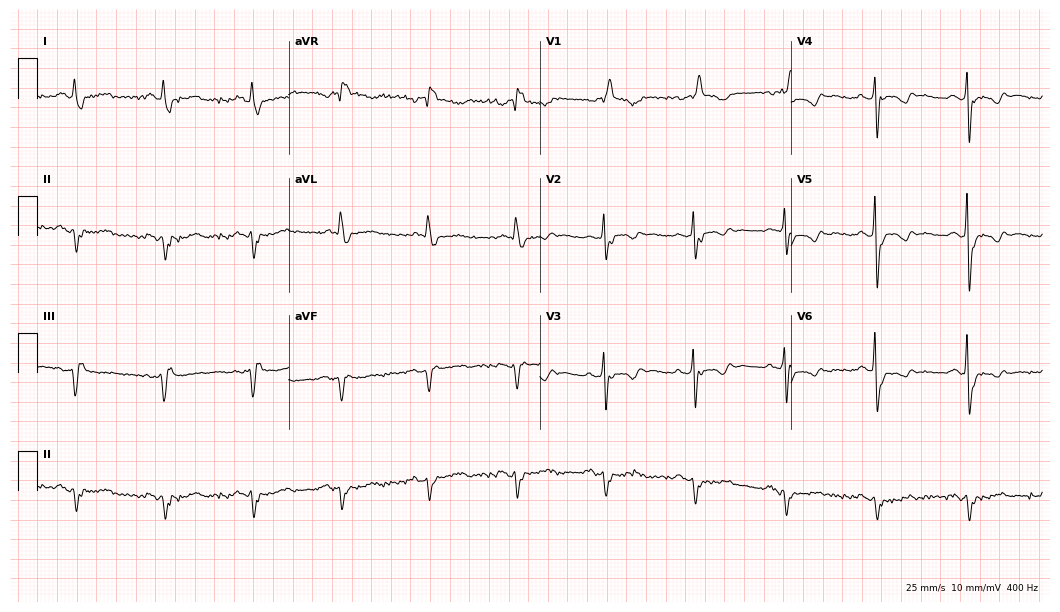
12-lead ECG from a 79-year-old man. Screened for six findings — first-degree AV block, right bundle branch block (RBBB), left bundle branch block (LBBB), sinus bradycardia, atrial fibrillation (AF), sinus tachycardia — none is recorded.